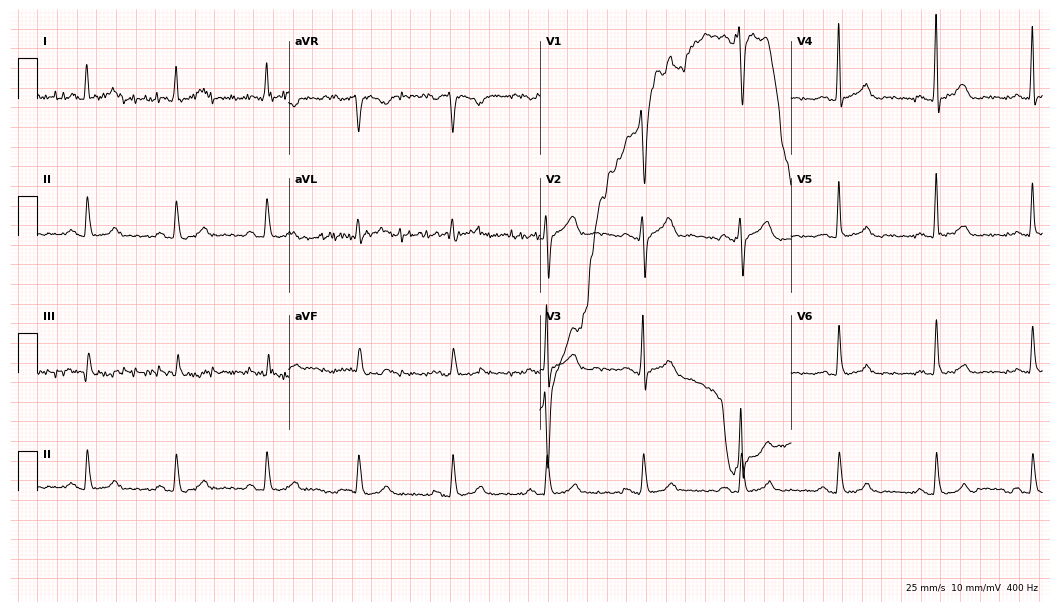
Resting 12-lead electrocardiogram (10.2-second recording at 400 Hz). Patient: a 57-year-old male. None of these six findings is recorded: first-degree AV block, right bundle branch block, left bundle branch block, sinus bradycardia, atrial fibrillation, sinus tachycardia. Only these six findings were labelled.